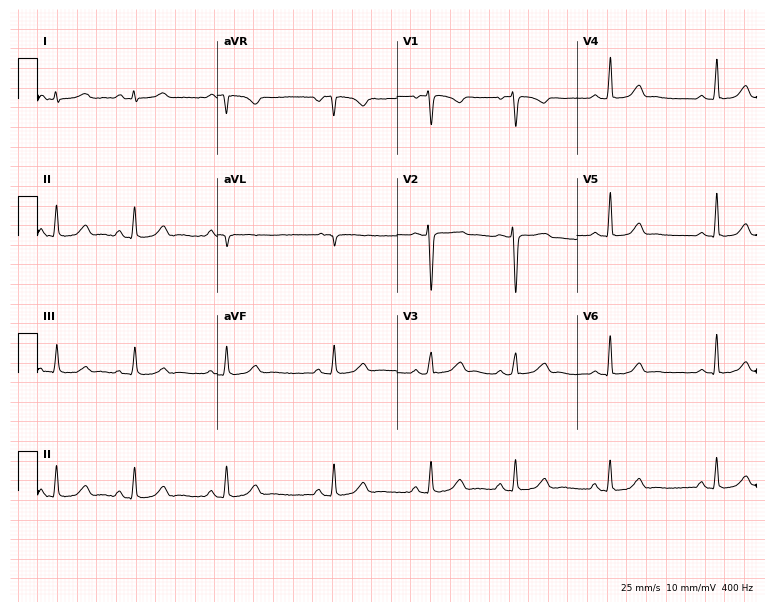
12-lead ECG from a woman, 24 years old. Screened for six findings — first-degree AV block, right bundle branch block (RBBB), left bundle branch block (LBBB), sinus bradycardia, atrial fibrillation (AF), sinus tachycardia — none is recorded.